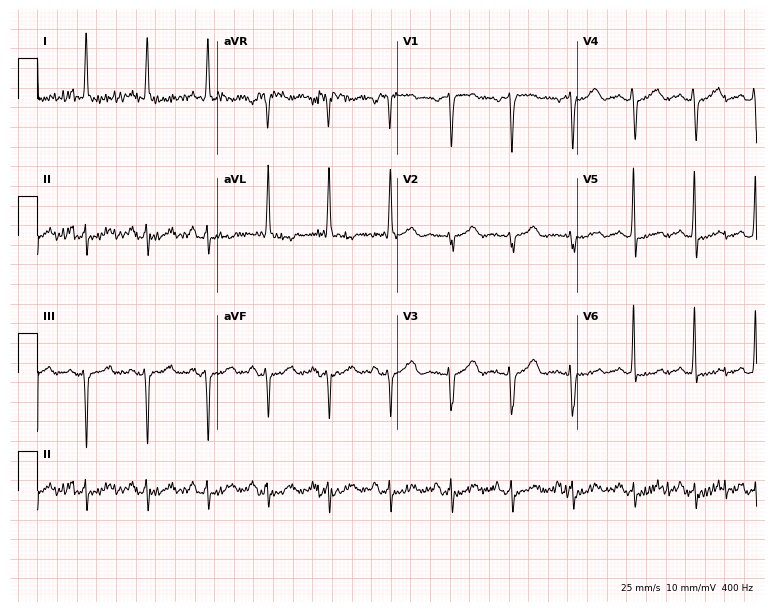
Resting 12-lead electrocardiogram. Patient: an 81-year-old female. None of these six findings is recorded: first-degree AV block, right bundle branch block (RBBB), left bundle branch block (LBBB), sinus bradycardia, atrial fibrillation (AF), sinus tachycardia.